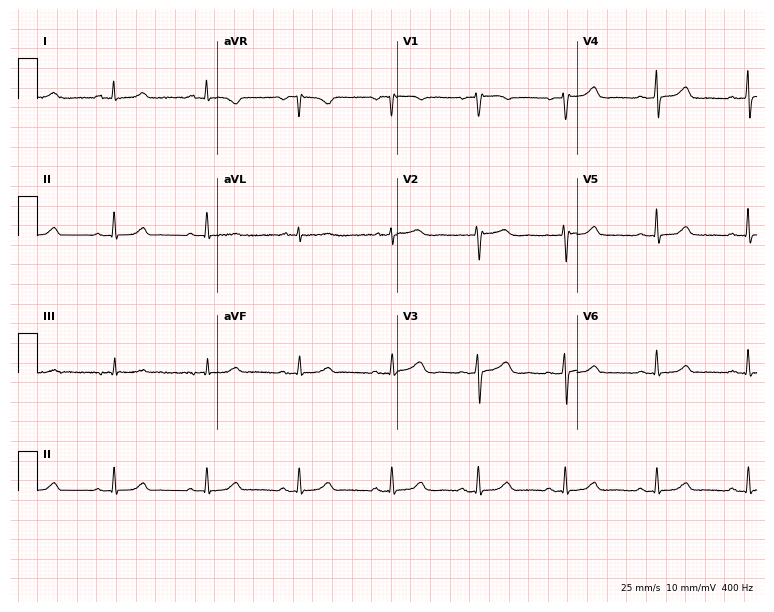
Standard 12-lead ECG recorded from a female patient, 56 years old. Read as a normal ECG.